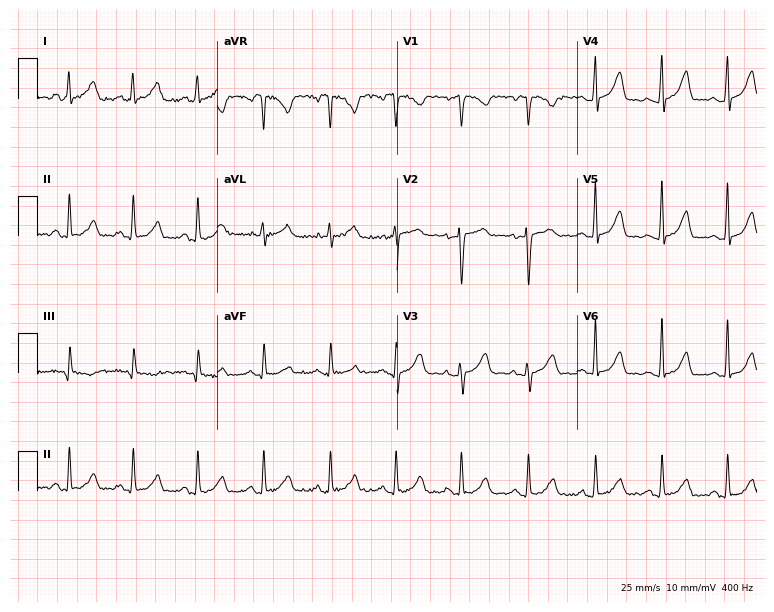
Resting 12-lead electrocardiogram (7.3-second recording at 400 Hz). Patient: a female, 44 years old. None of these six findings is recorded: first-degree AV block, right bundle branch block, left bundle branch block, sinus bradycardia, atrial fibrillation, sinus tachycardia.